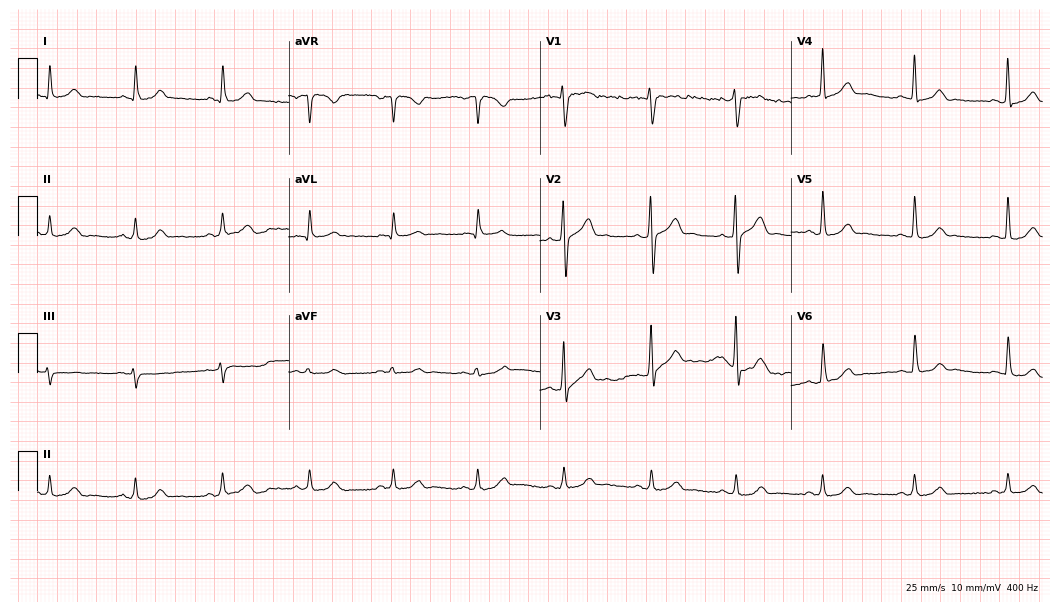
ECG (10.2-second recording at 400 Hz) — a man, 41 years old. Labelled as a normal ECG.